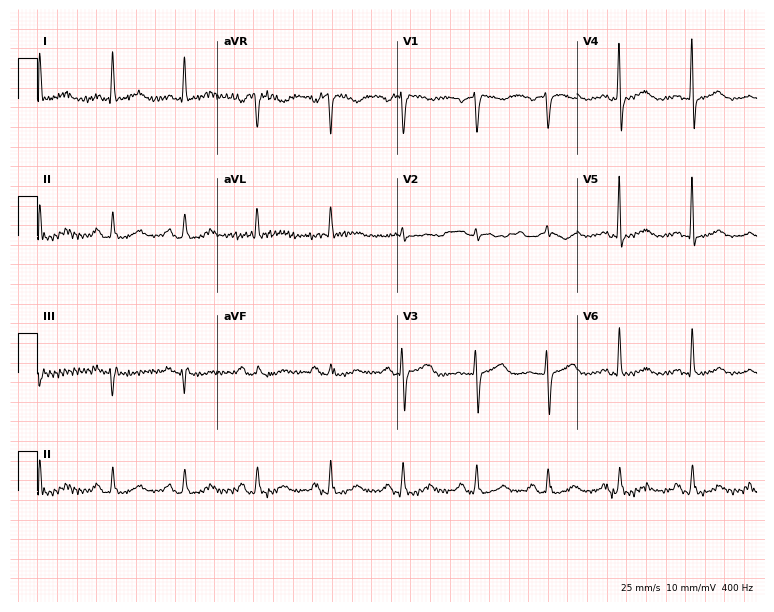
ECG — a 61-year-old female. Labelled as a normal ECG.